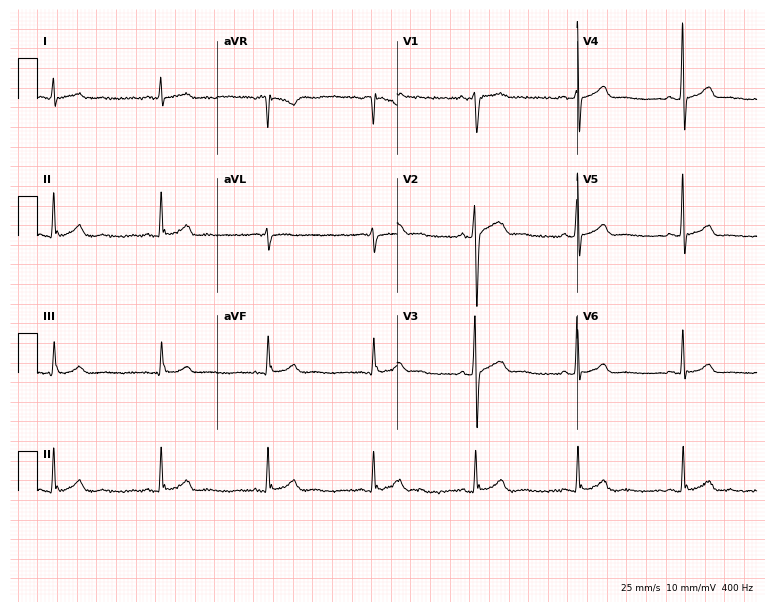
12-lead ECG from a 43-year-old man. Labelled as a normal ECG.